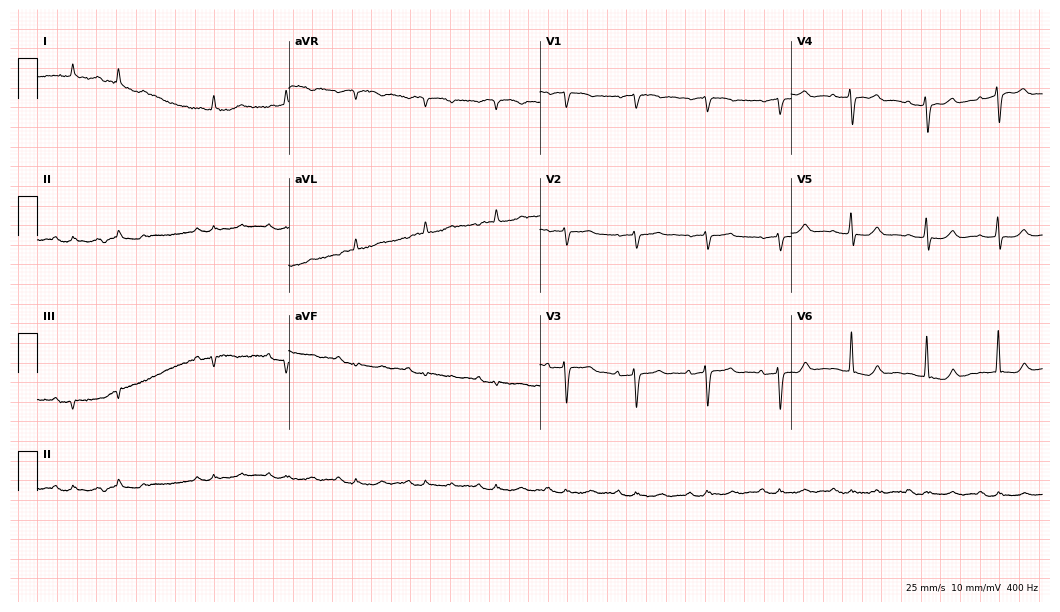
12-lead ECG from a female, 80 years old (10.2-second recording at 400 Hz). No first-degree AV block, right bundle branch block (RBBB), left bundle branch block (LBBB), sinus bradycardia, atrial fibrillation (AF) or sinus tachycardia recorded for this tracing.